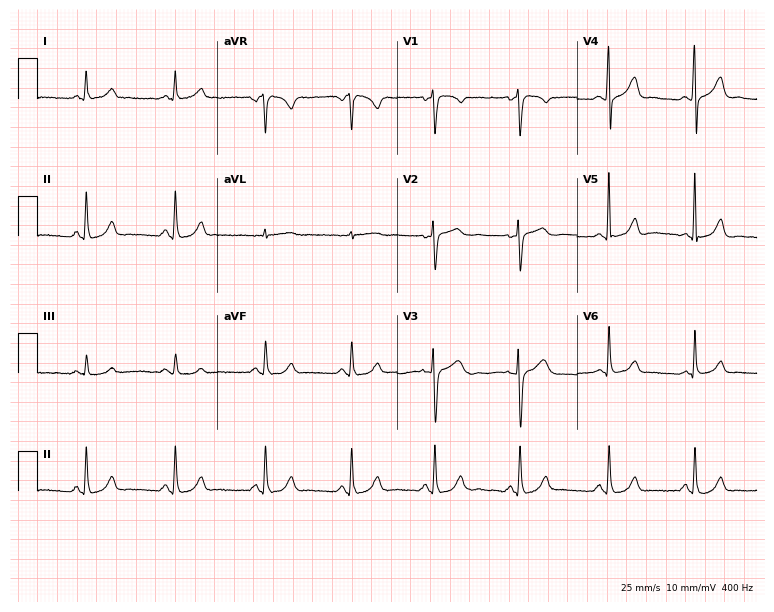
Resting 12-lead electrocardiogram (7.3-second recording at 400 Hz). Patient: a 37-year-old female. None of these six findings is recorded: first-degree AV block, right bundle branch block, left bundle branch block, sinus bradycardia, atrial fibrillation, sinus tachycardia. Other findings, if any, are not listed.